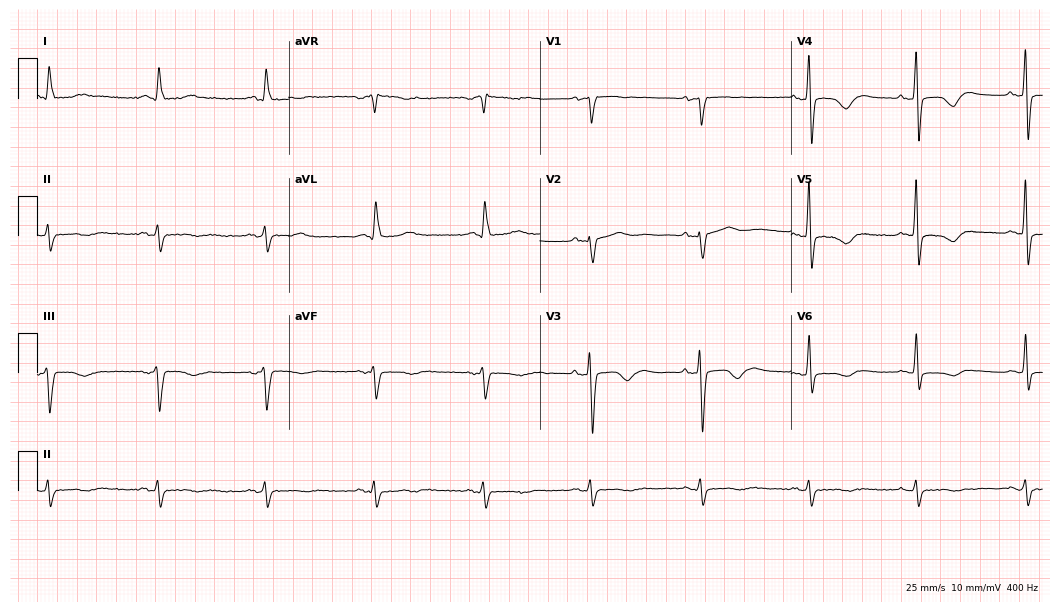
12-lead ECG from a man, 81 years old. Screened for six findings — first-degree AV block, right bundle branch block, left bundle branch block, sinus bradycardia, atrial fibrillation, sinus tachycardia — none is recorded.